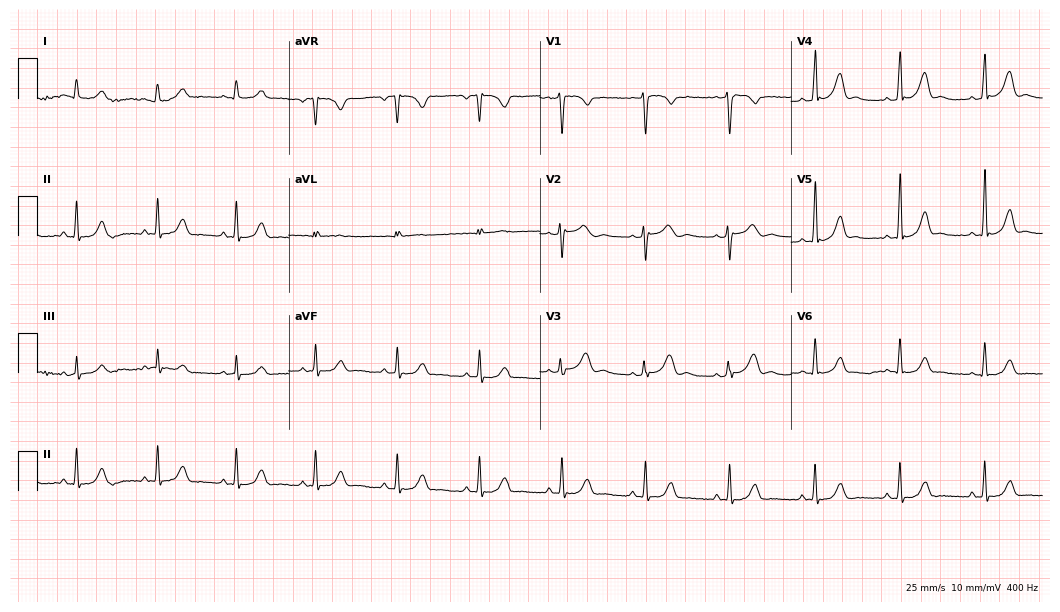
ECG — a 30-year-old female. Screened for six findings — first-degree AV block, right bundle branch block, left bundle branch block, sinus bradycardia, atrial fibrillation, sinus tachycardia — none is recorded. Other findings, if any, are not listed.